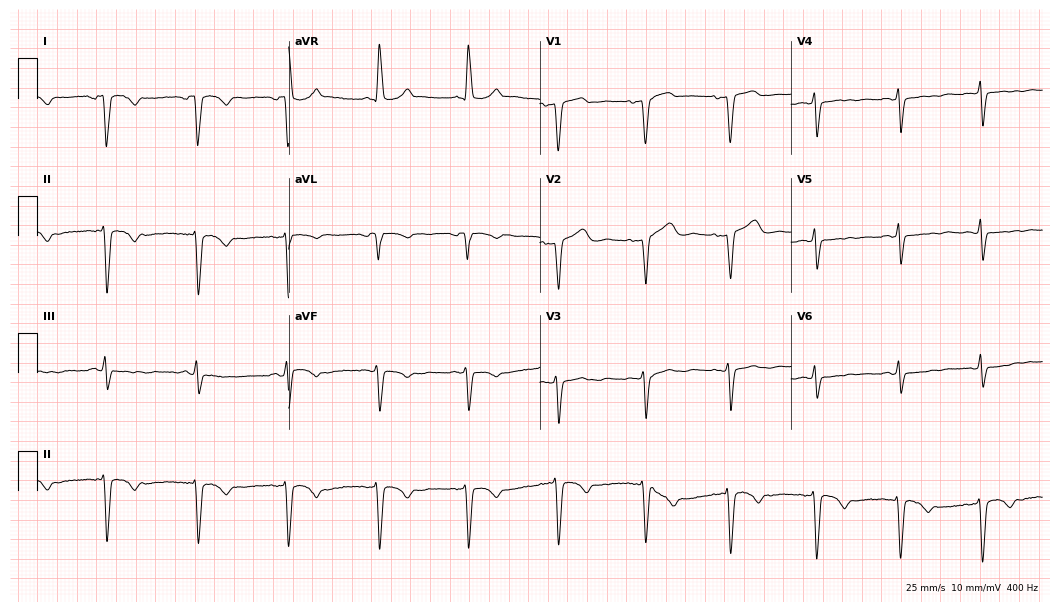
Resting 12-lead electrocardiogram (10.2-second recording at 400 Hz). Patient: a 54-year-old female. None of these six findings is recorded: first-degree AV block, right bundle branch block (RBBB), left bundle branch block (LBBB), sinus bradycardia, atrial fibrillation (AF), sinus tachycardia.